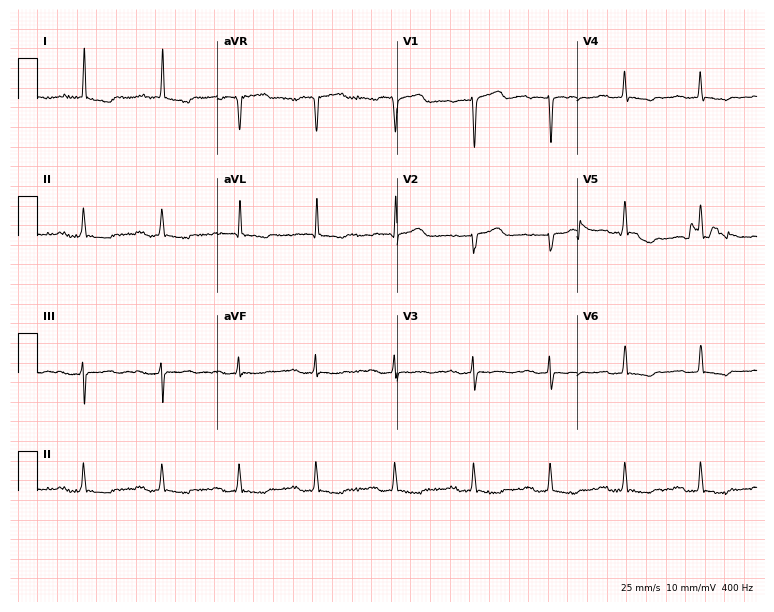
Electrocardiogram (7.3-second recording at 400 Hz), a woman, 74 years old. Interpretation includes first-degree AV block.